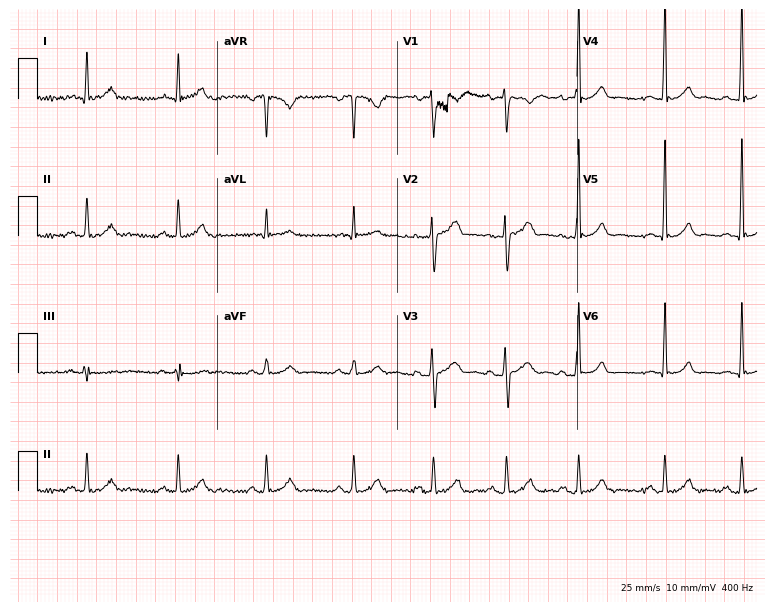
Standard 12-lead ECG recorded from a 35-year-old male (7.3-second recording at 400 Hz). Read as a normal ECG.